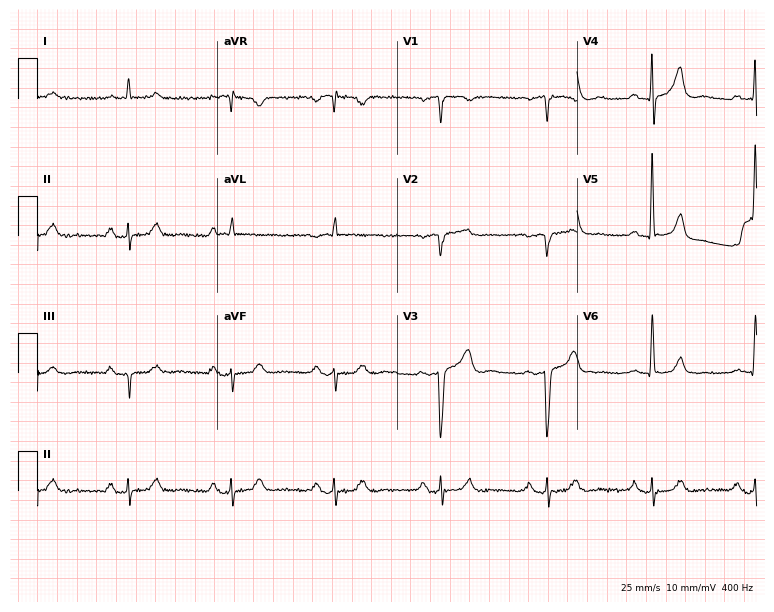
12-lead ECG from a man, 75 years old. Labelled as a normal ECG.